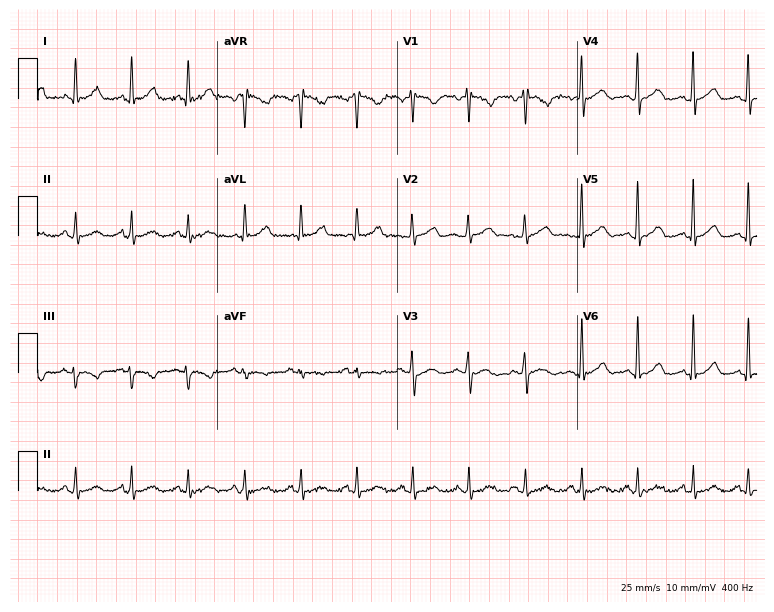
12-lead ECG (7.3-second recording at 400 Hz) from a 44-year-old female patient. Findings include sinus tachycardia (a sinus rate of 100 beats per minute or more).